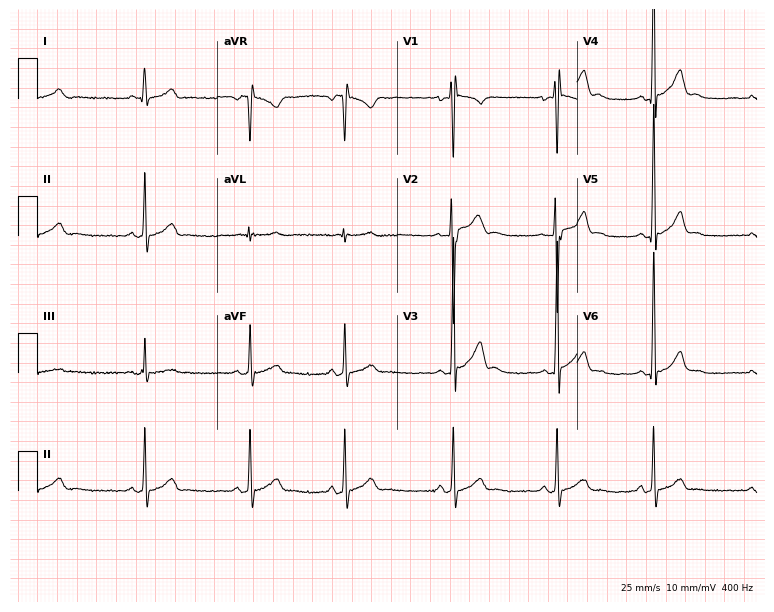
12-lead ECG from a 17-year-old male patient. Recorded interpretation: within normal limits.